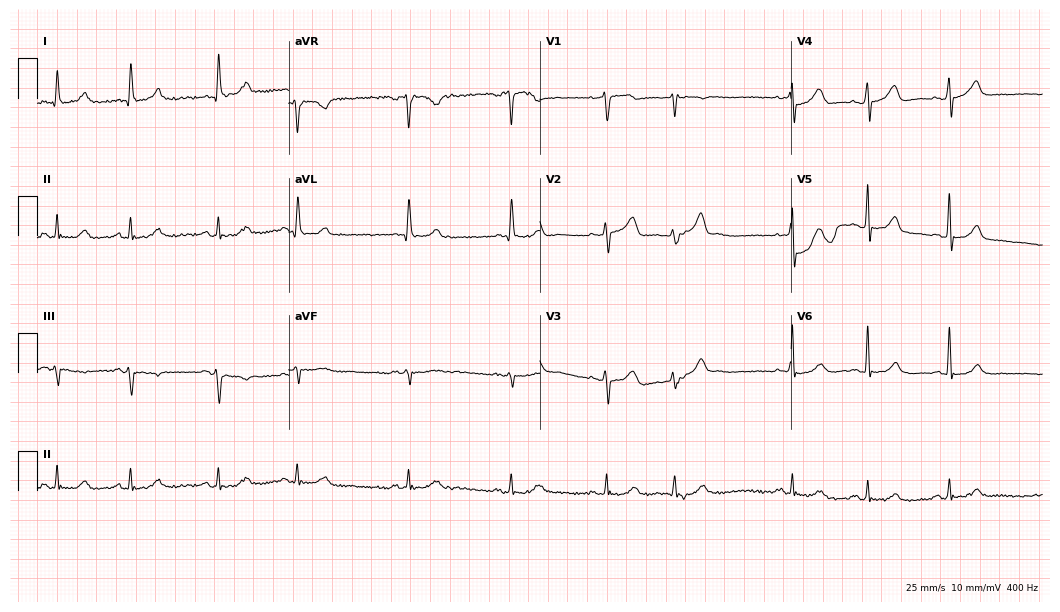
12-lead ECG from a 72-year-old woman (10.2-second recording at 400 Hz). No first-degree AV block, right bundle branch block (RBBB), left bundle branch block (LBBB), sinus bradycardia, atrial fibrillation (AF) or sinus tachycardia recorded for this tracing.